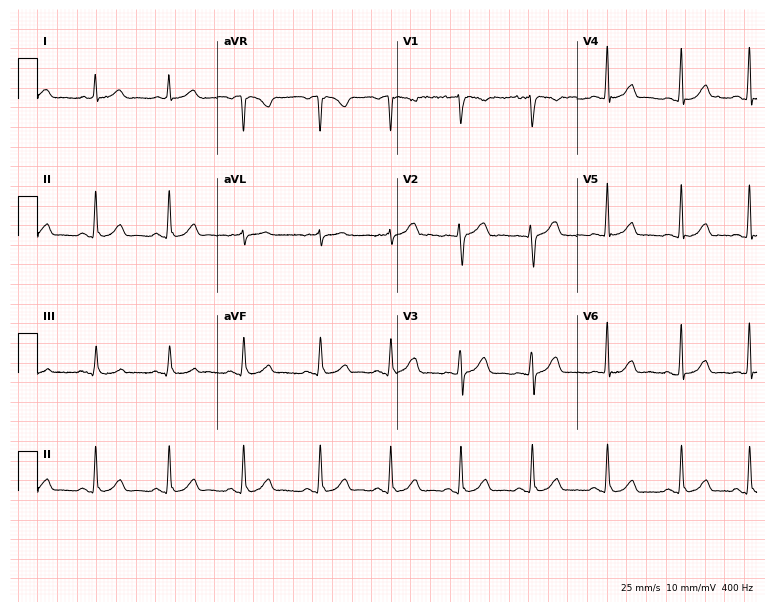
Standard 12-lead ECG recorded from a female patient, 52 years old. Read as a normal ECG.